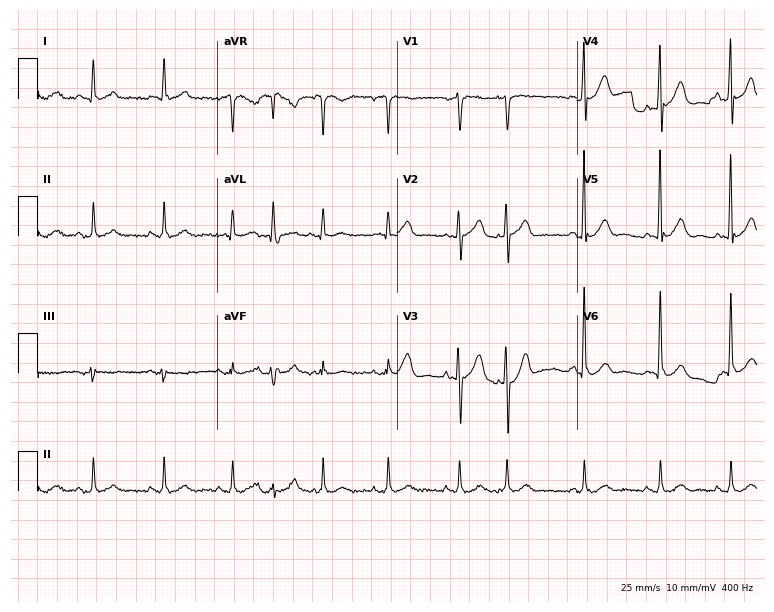
ECG (7.3-second recording at 400 Hz) — a man, 75 years old. Screened for six findings — first-degree AV block, right bundle branch block, left bundle branch block, sinus bradycardia, atrial fibrillation, sinus tachycardia — none is recorded. Other findings, if any, are not listed.